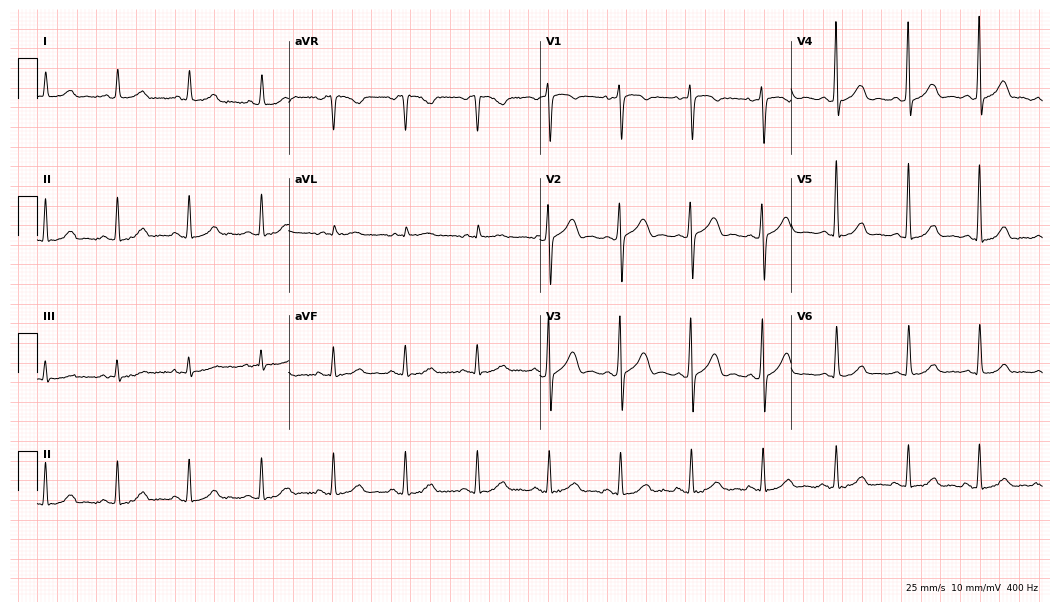
Electrocardiogram (10.2-second recording at 400 Hz), a woman, 85 years old. Overall reading on record: normal ECG.